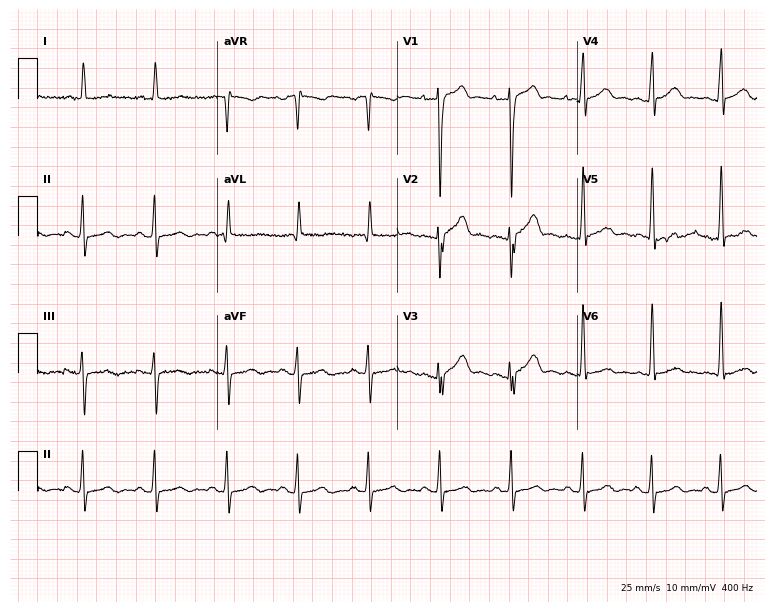
ECG — a male, 70 years old. Screened for six findings — first-degree AV block, right bundle branch block (RBBB), left bundle branch block (LBBB), sinus bradycardia, atrial fibrillation (AF), sinus tachycardia — none is recorded. Only these six findings were labelled.